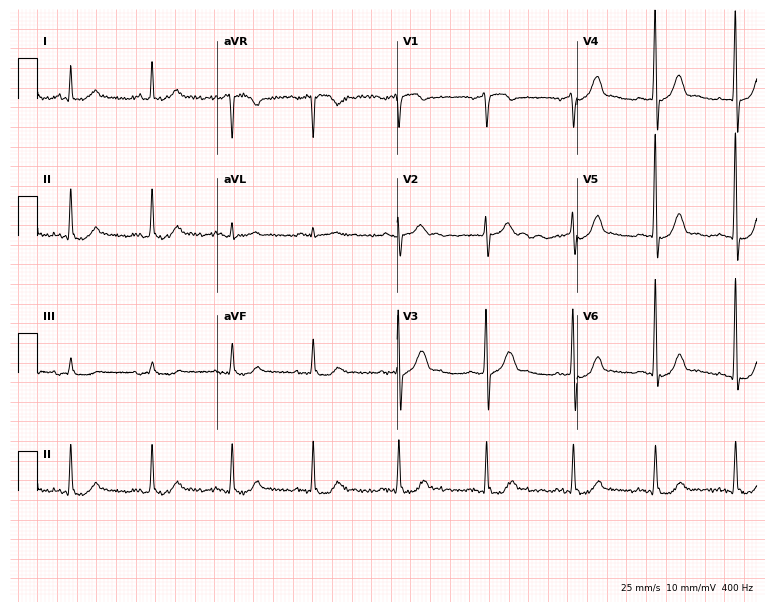
12-lead ECG from a man, 54 years old. Screened for six findings — first-degree AV block, right bundle branch block (RBBB), left bundle branch block (LBBB), sinus bradycardia, atrial fibrillation (AF), sinus tachycardia — none is recorded. Findings outside these six are not listed.